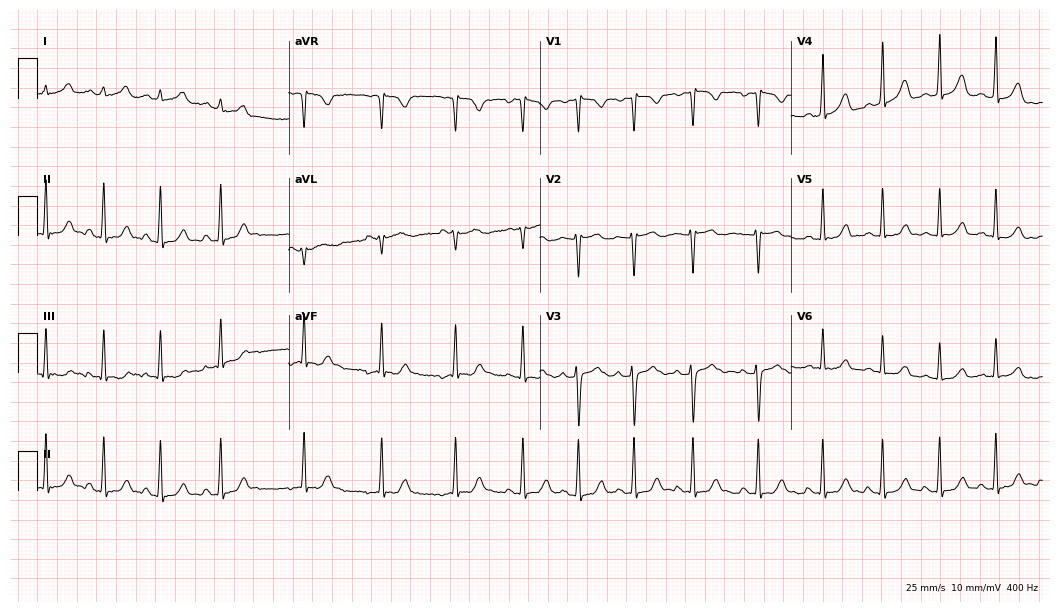
ECG — a 17-year-old female. Labelled as a normal ECG.